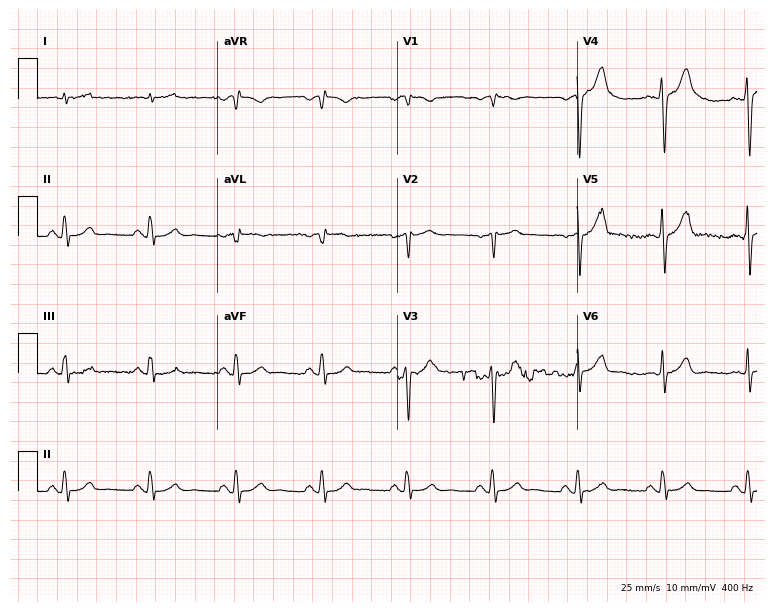
Resting 12-lead electrocardiogram. Patient: an 81-year-old male. None of these six findings is recorded: first-degree AV block, right bundle branch block (RBBB), left bundle branch block (LBBB), sinus bradycardia, atrial fibrillation (AF), sinus tachycardia.